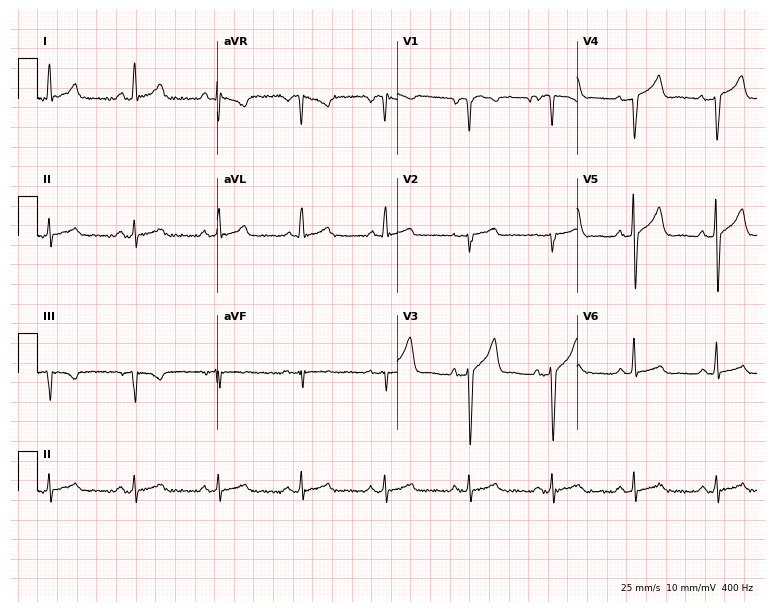
Resting 12-lead electrocardiogram (7.3-second recording at 400 Hz). Patient: a male, 48 years old. Read as a normal ECG.